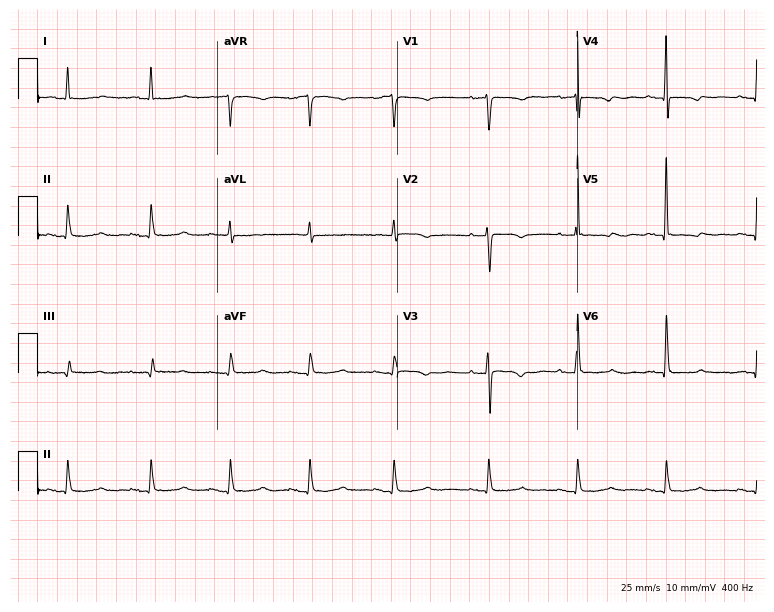
Electrocardiogram, an 83-year-old female. Of the six screened findings (first-degree AV block, right bundle branch block (RBBB), left bundle branch block (LBBB), sinus bradycardia, atrial fibrillation (AF), sinus tachycardia), none is recorded.